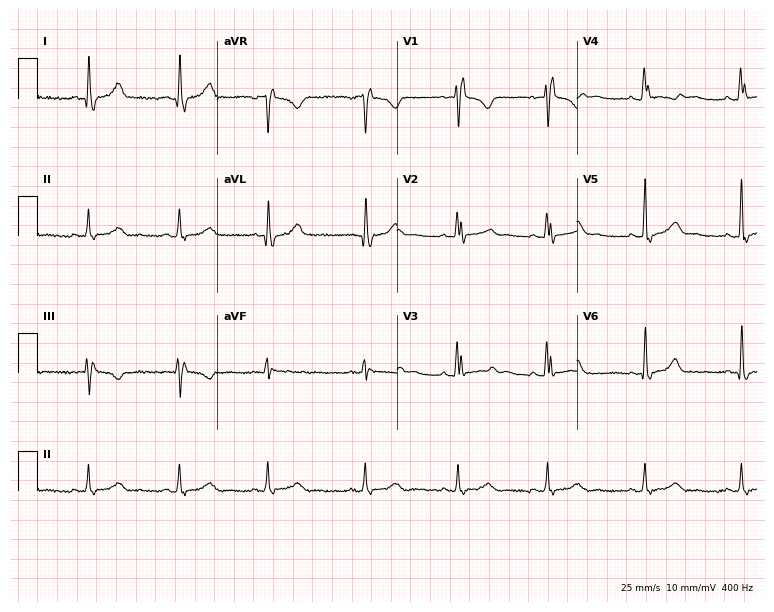
12-lead ECG from a woman, 38 years old. Screened for six findings — first-degree AV block, right bundle branch block, left bundle branch block, sinus bradycardia, atrial fibrillation, sinus tachycardia — none is recorded.